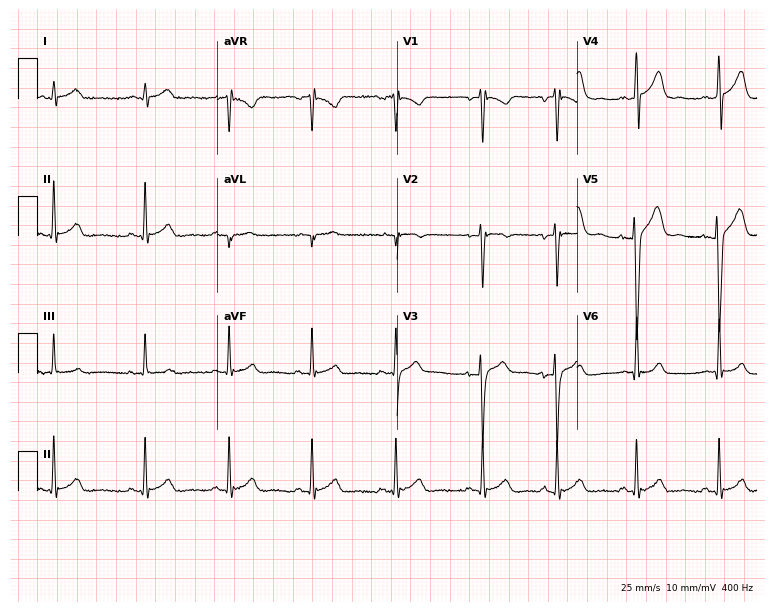
Standard 12-lead ECG recorded from a male, 20 years old. None of these six findings is recorded: first-degree AV block, right bundle branch block, left bundle branch block, sinus bradycardia, atrial fibrillation, sinus tachycardia. Other findings, if any, are not listed.